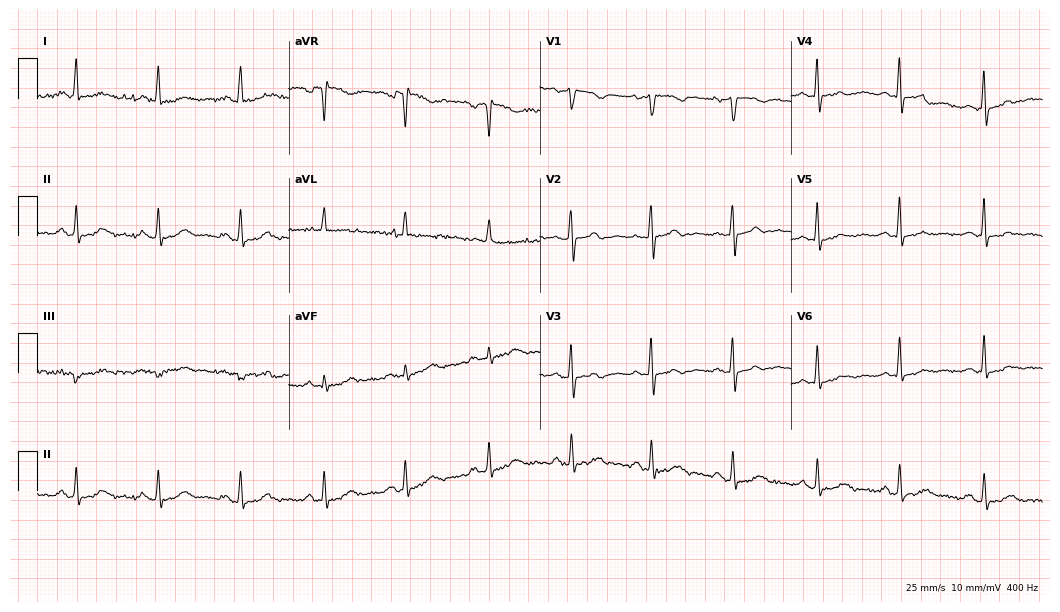
Electrocardiogram (10.2-second recording at 400 Hz), a 59-year-old female patient. Overall reading on record: normal ECG.